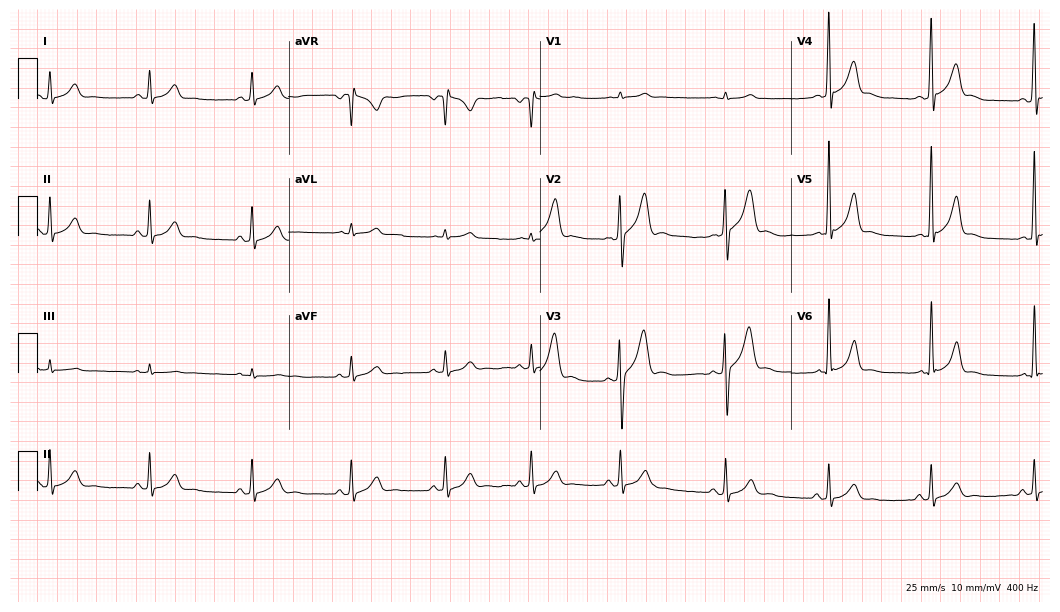
12-lead ECG from a 37-year-old man. Labelled as a normal ECG.